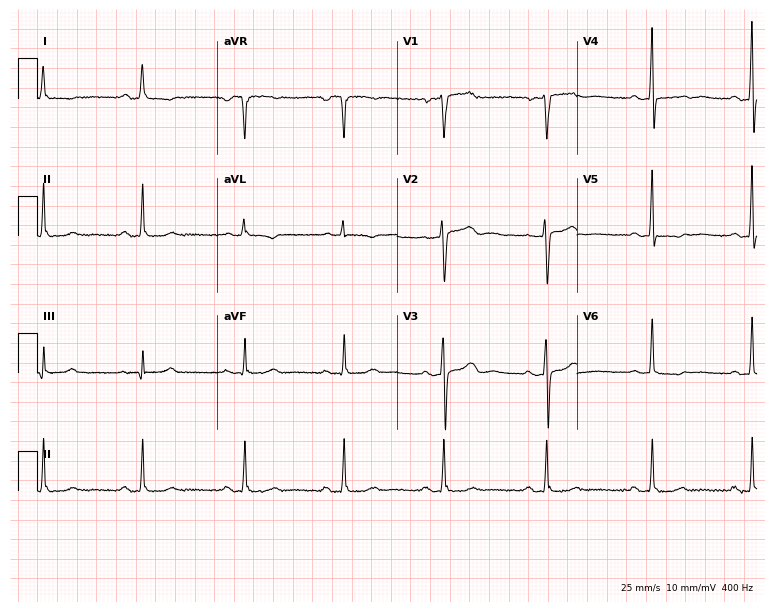
Resting 12-lead electrocardiogram (7.3-second recording at 400 Hz). Patient: a 52-year-old female. The tracing shows first-degree AV block.